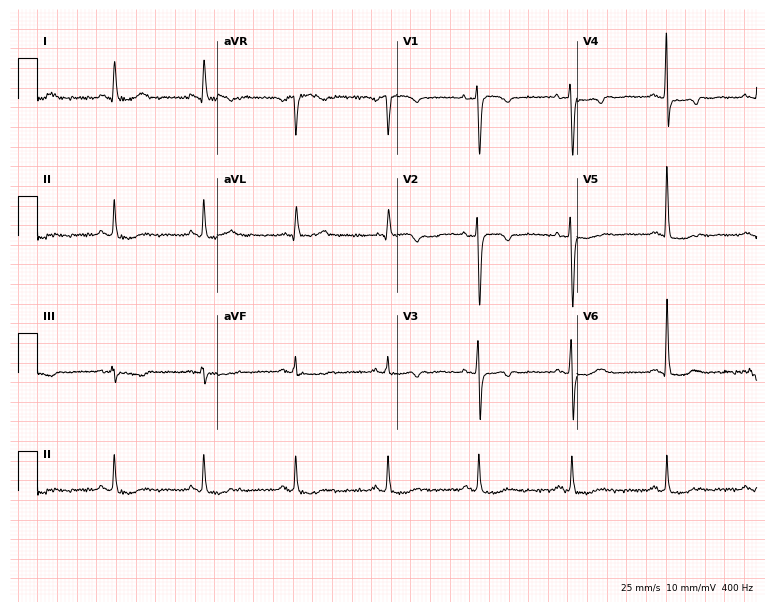
Resting 12-lead electrocardiogram. Patient: a 65-year-old female. None of these six findings is recorded: first-degree AV block, right bundle branch block (RBBB), left bundle branch block (LBBB), sinus bradycardia, atrial fibrillation (AF), sinus tachycardia.